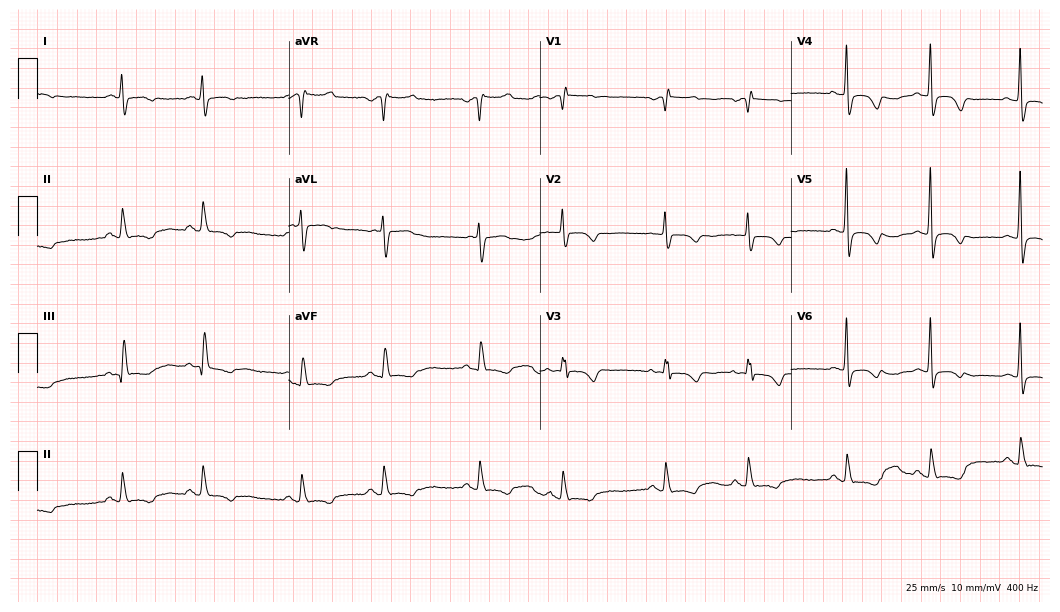
Standard 12-lead ECG recorded from a 72-year-old woman (10.2-second recording at 400 Hz). None of these six findings is recorded: first-degree AV block, right bundle branch block (RBBB), left bundle branch block (LBBB), sinus bradycardia, atrial fibrillation (AF), sinus tachycardia. Other findings, if any, are not listed.